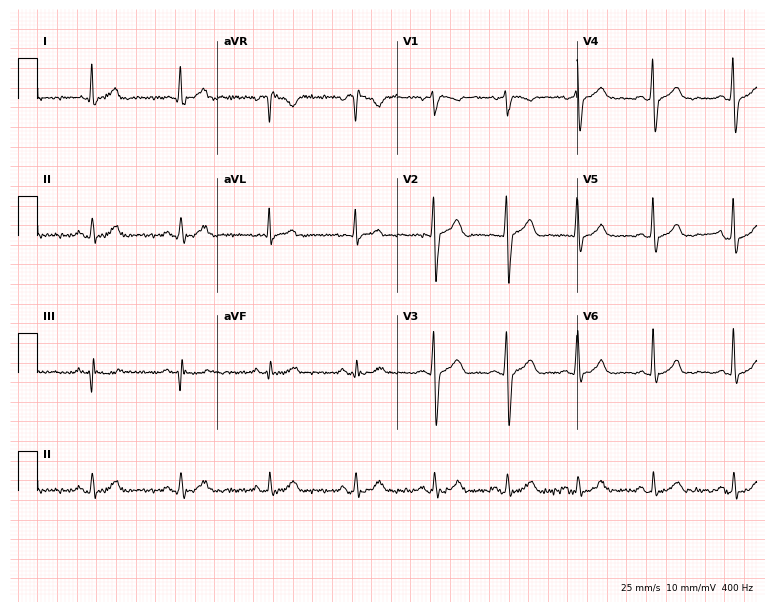
12-lead ECG from a 41-year-old male patient. Labelled as a normal ECG.